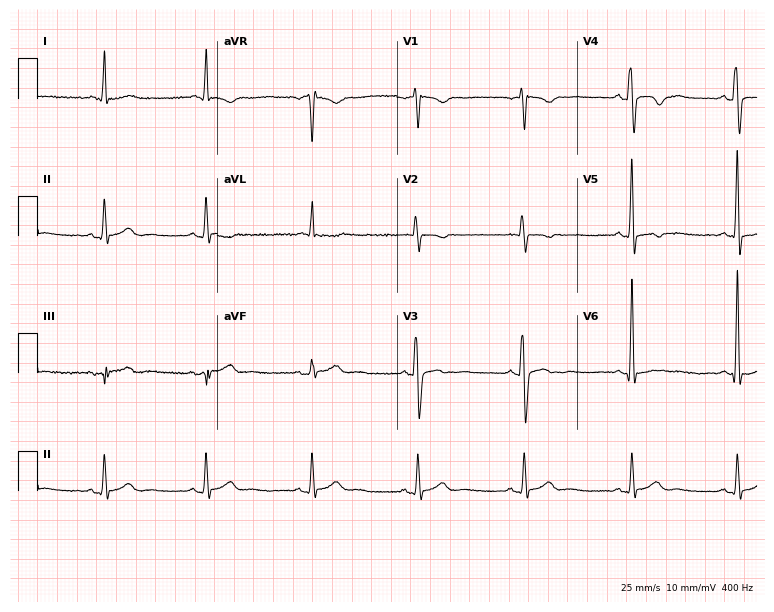
Resting 12-lead electrocardiogram. Patient: a 44-year-old male. None of these six findings is recorded: first-degree AV block, right bundle branch block, left bundle branch block, sinus bradycardia, atrial fibrillation, sinus tachycardia. Other findings, if any, are not listed.